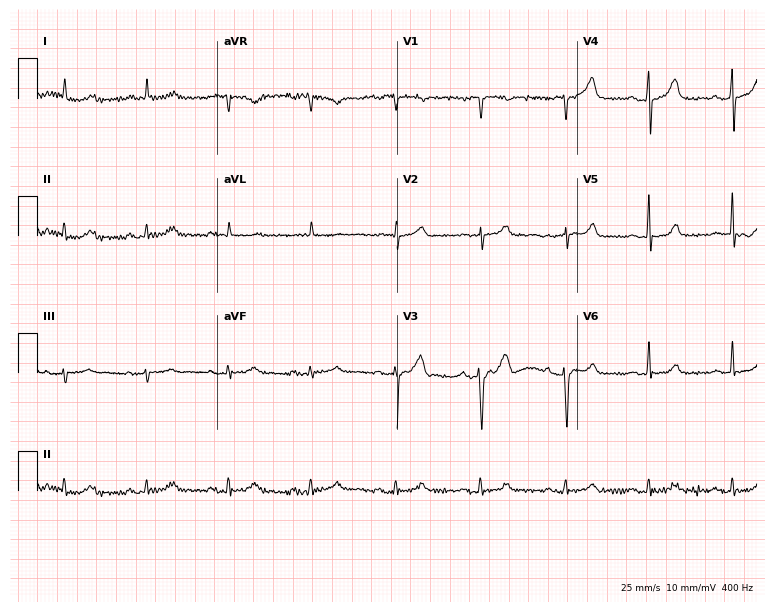
12-lead ECG from a 75-year-old male patient. Screened for six findings — first-degree AV block, right bundle branch block, left bundle branch block, sinus bradycardia, atrial fibrillation, sinus tachycardia — none is recorded. Only these six findings were labelled.